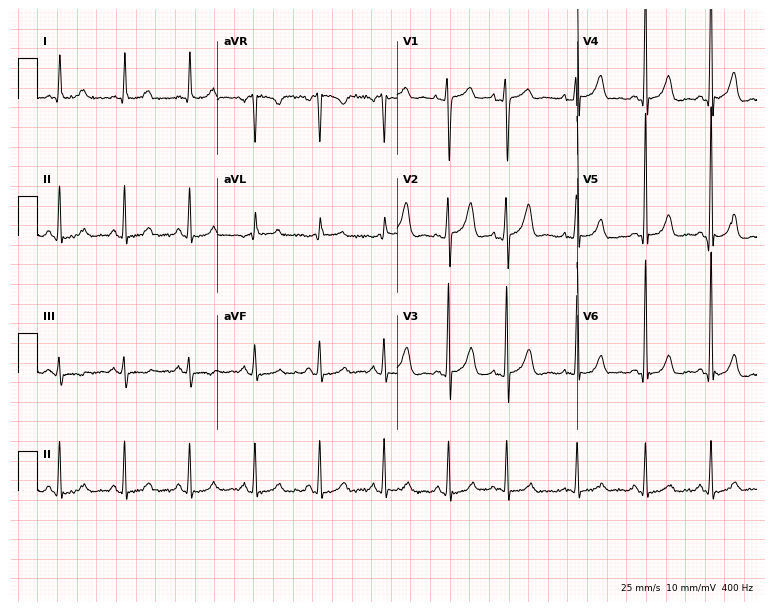
Electrocardiogram, a 75-year-old man. Overall reading on record: normal ECG.